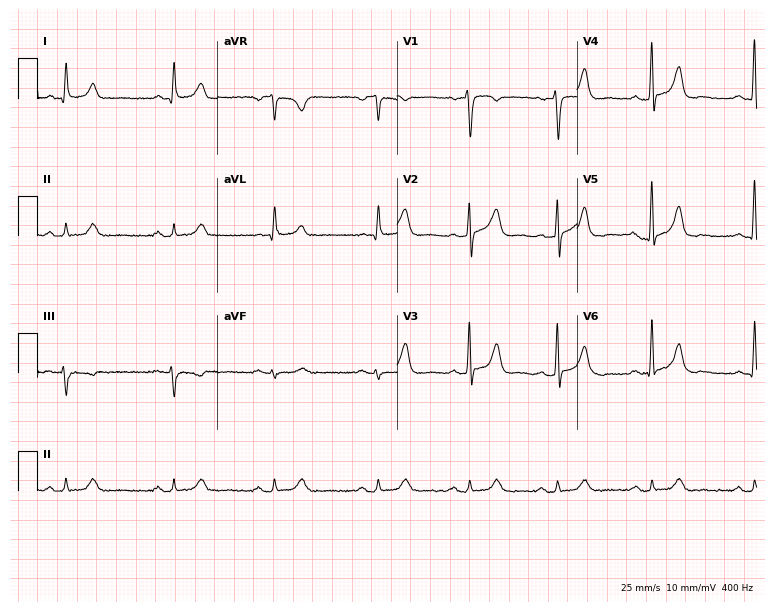
Resting 12-lead electrocardiogram (7.3-second recording at 400 Hz). Patient: a 59-year-old male. Read as a normal ECG.